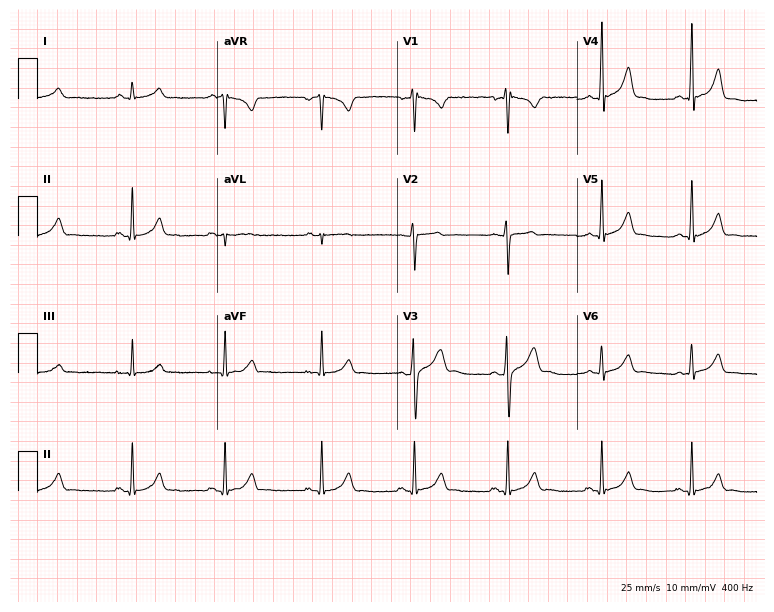
12-lead ECG from a male, 30 years old. No first-degree AV block, right bundle branch block, left bundle branch block, sinus bradycardia, atrial fibrillation or sinus tachycardia recorded for this tracing. Findings outside these six are not listed.